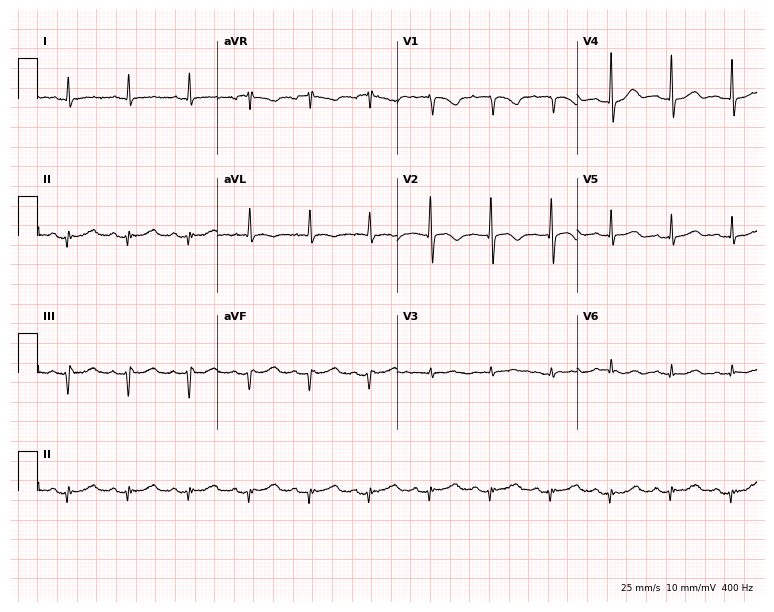
12-lead ECG from a woman, 78 years old (7.3-second recording at 400 Hz). Recorded interpretation: within normal limits.